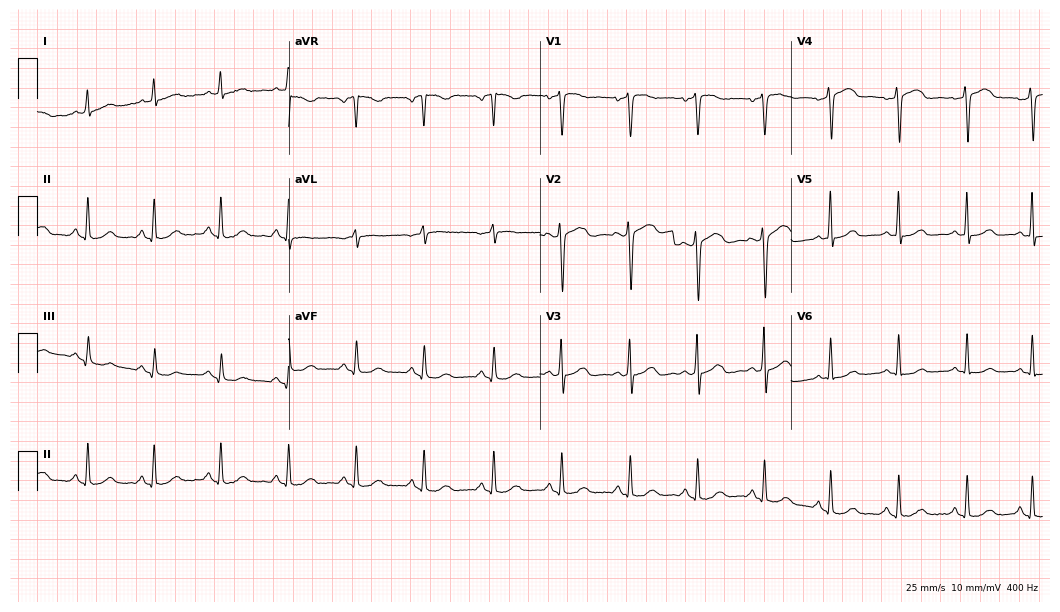
ECG — a 63-year-old female patient. Screened for six findings — first-degree AV block, right bundle branch block, left bundle branch block, sinus bradycardia, atrial fibrillation, sinus tachycardia — none is recorded.